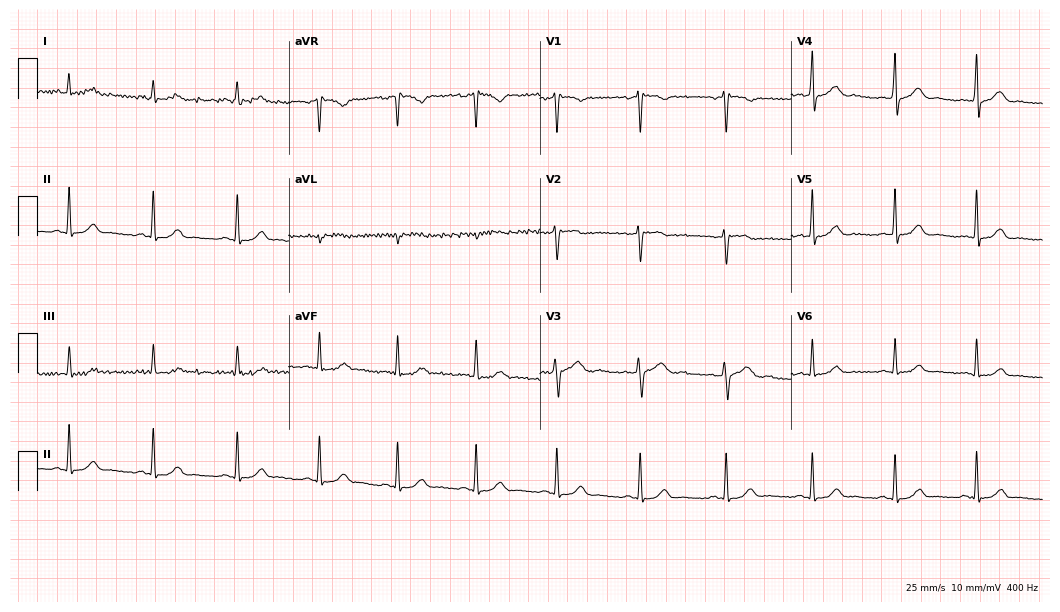
Resting 12-lead electrocardiogram. Patient: a 43-year-old woman. Read as a normal ECG.